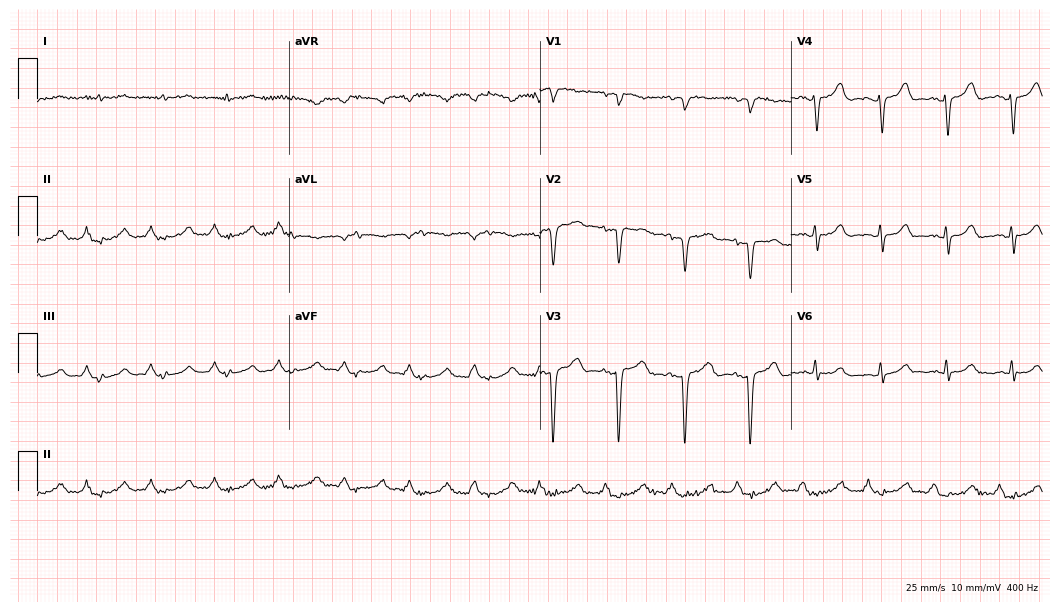
ECG — a male patient, 73 years old. Screened for six findings — first-degree AV block, right bundle branch block, left bundle branch block, sinus bradycardia, atrial fibrillation, sinus tachycardia — none is recorded.